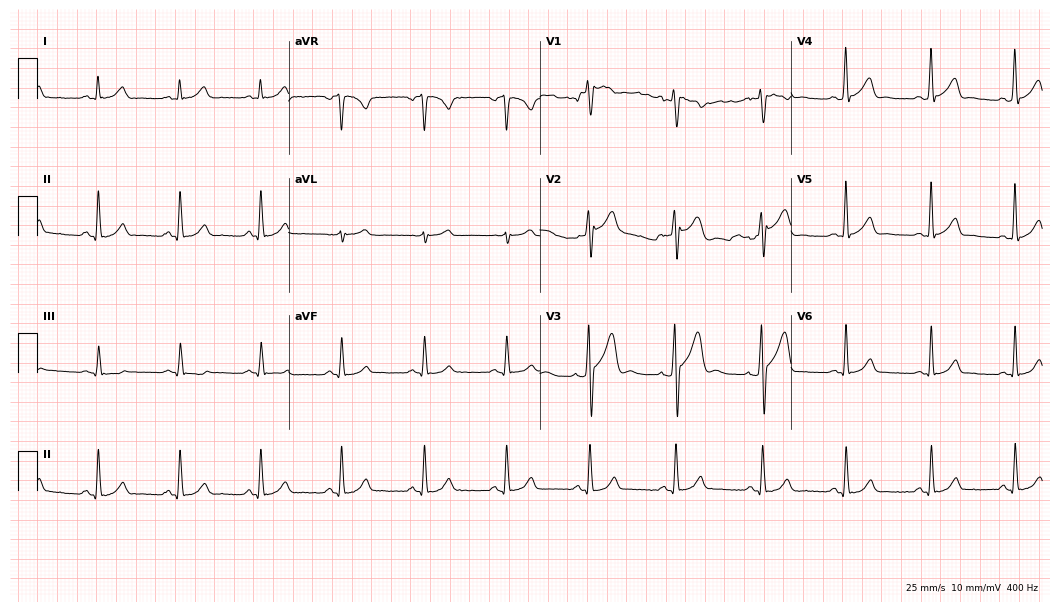
Resting 12-lead electrocardiogram. Patient: a 39-year-old male. Read as a normal ECG.